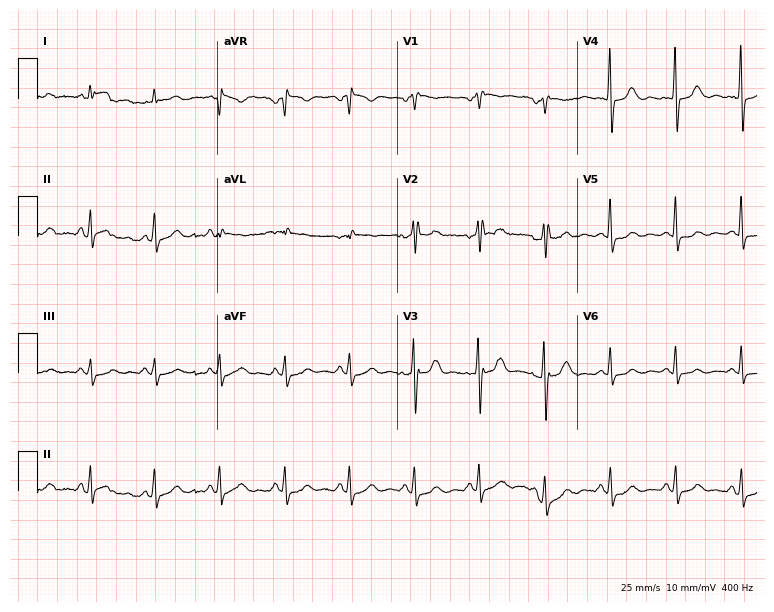
12-lead ECG (7.3-second recording at 400 Hz) from a male, 58 years old. Screened for six findings — first-degree AV block, right bundle branch block, left bundle branch block, sinus bradycardia, atrial fibrillation, sinus tachycardia — none is recorded. Findings outside these six are not listed.